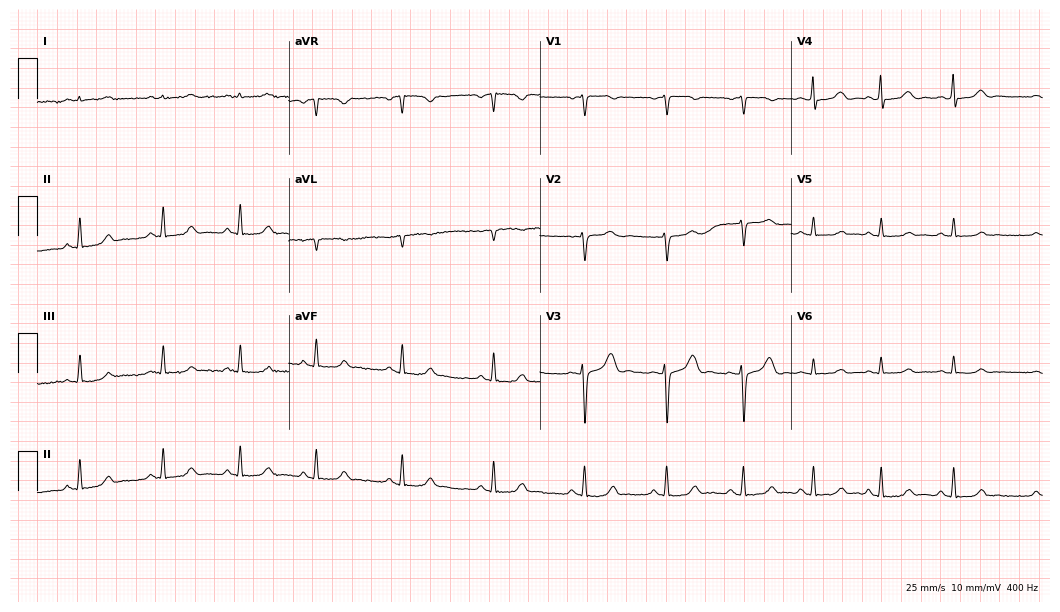
Electrocardiogram, a woman, 33 years old. Of the six screened findings (first-degree AV block, right bundle branch block, left bundle branch block, sinus bradycardia, atrial fibrillation, sinus tachycardia), none is recorded. Other findings, if any, are not listed.